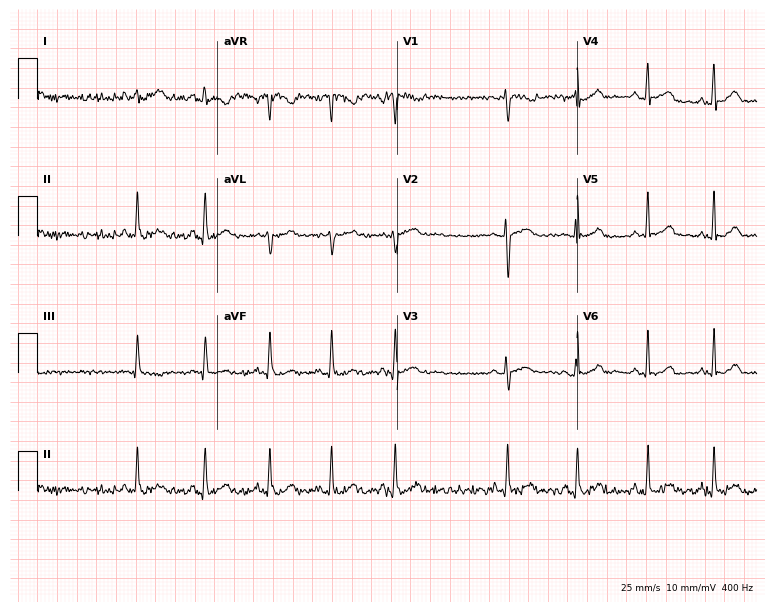
Standard 12-lead ECG recorded from a female patient, 23 years old (7.3-second recording at 400 Hz). None of these six findings is recorded: first-degree AV block, right bundle branch block, left bundle branch block, sinus bradycardia, atrial fibrillation, sinus tachycardia. Only these six findings were labelled.